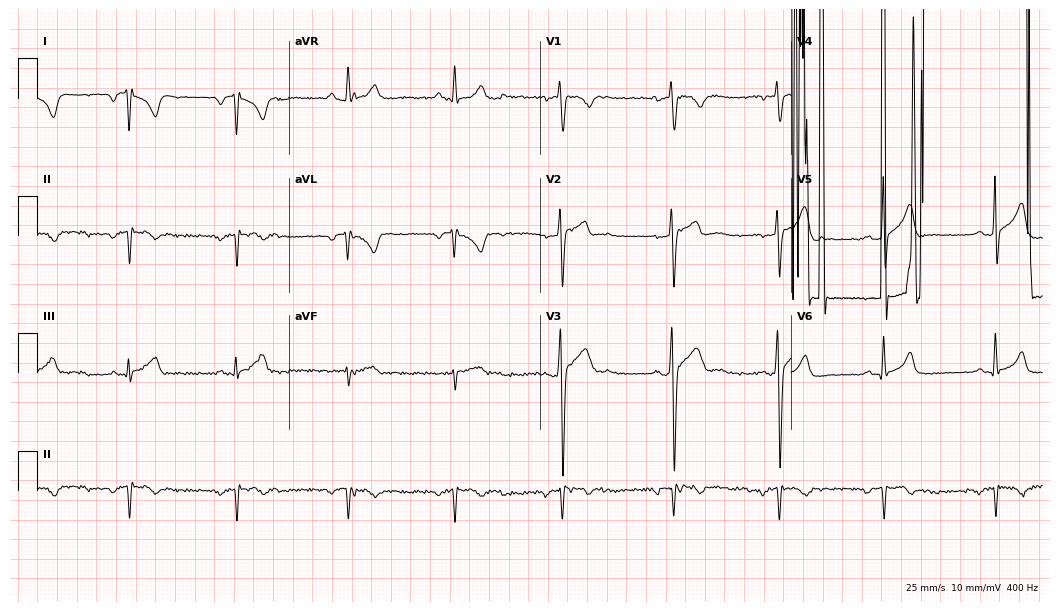
12-lead ECG from a 23-year-old male. Screened for six findings — first-degree AV block, right bundle branch block (RBBB), left bundle branch block (LBBB), sinus bradycardia, atrial fibrillation (AF), sinus tachycardia — none is recorded. Findings outside these six are not listed.